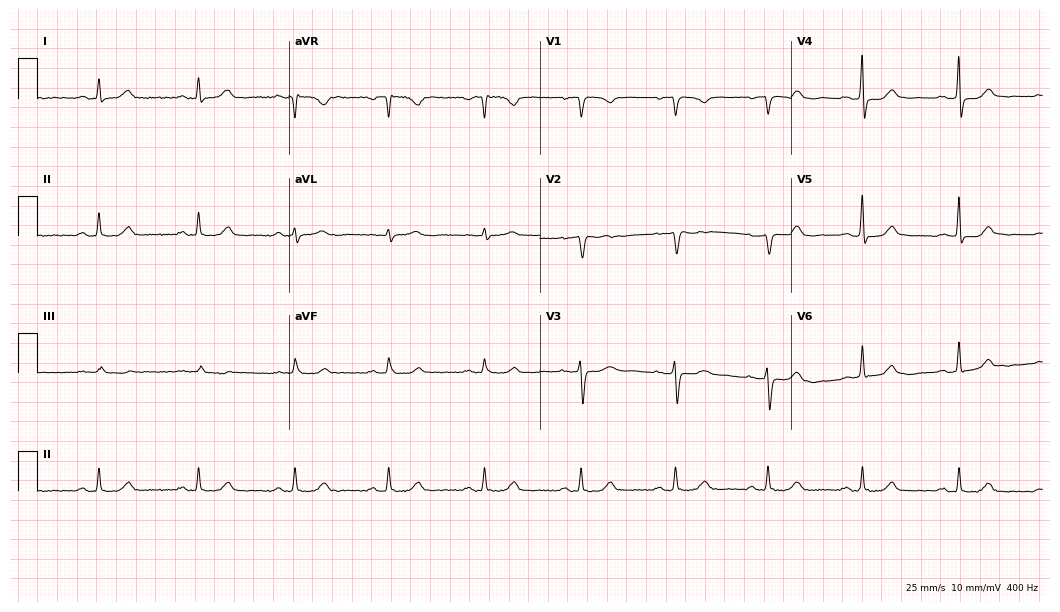
Resting 12-lead electrocardiogram. Patient: a female, 59 years old. Read as a normal ECG.